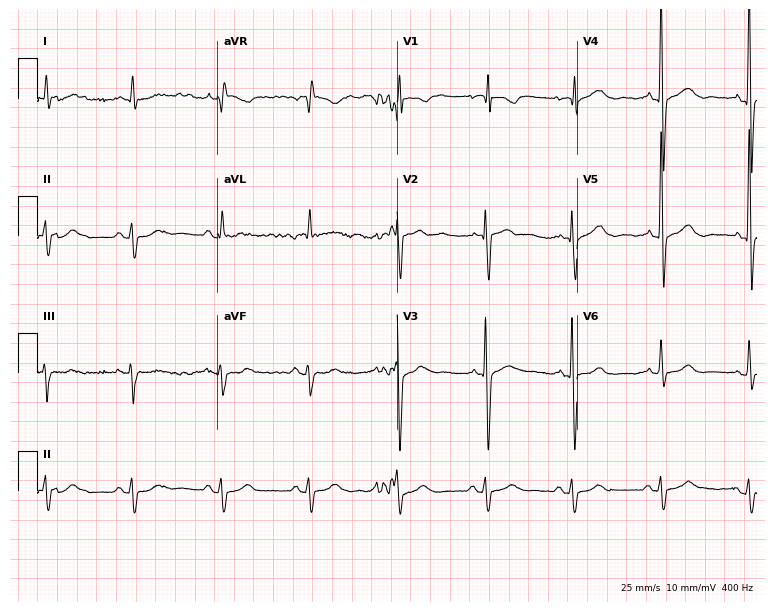
Resting 12-lead electrocardiogram. Patient: a male, 74 years old. None of these six findings is recorded: first-degree AV block, right bundle branch block, left bundle branch block, sinus bradycardia, atrial fibrillation, sinus tachycardia.